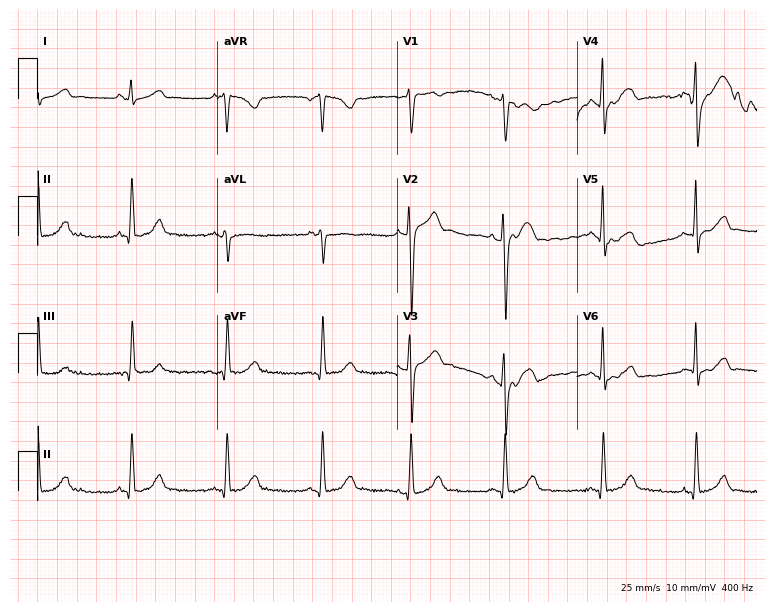
Resting 12-lead electrocardiogram. Patient: a 17-year-old man. None of these six findings is recorded: first-degree AV block, right bundle branch block (RBBB), left bundle branch block (LBBB), sinus bradycardia, atrial fibrillation (AF), sinus tachycardia. Other findings, if any, are not listed.